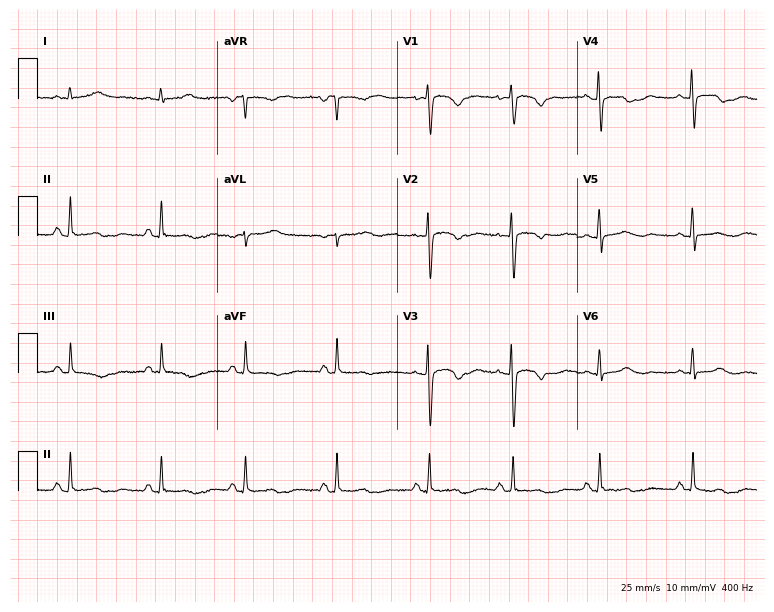
Electrocardiogram (7.3-second recording at 400 Hz), a woman, 62 years old. Of the six screened findings (first-degree AV block, right bundle branch block (RBBB), left bundle branch block (LBBB), sinus bradycardia, atrial fibrillation (AF), sinus tachycardia), none is recorded. Only these six findings were labelled.